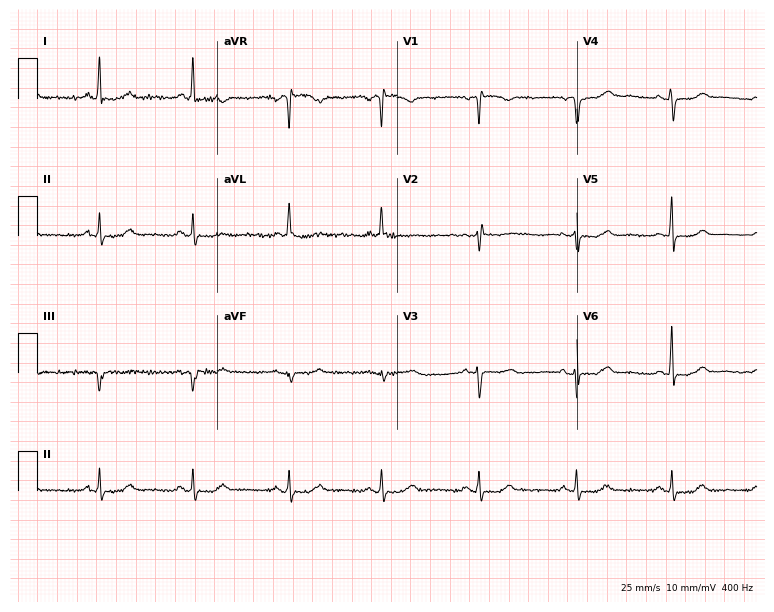
Standard 12-lead ECG recorded from an 80-year-old woman. Read as a normal ECG.